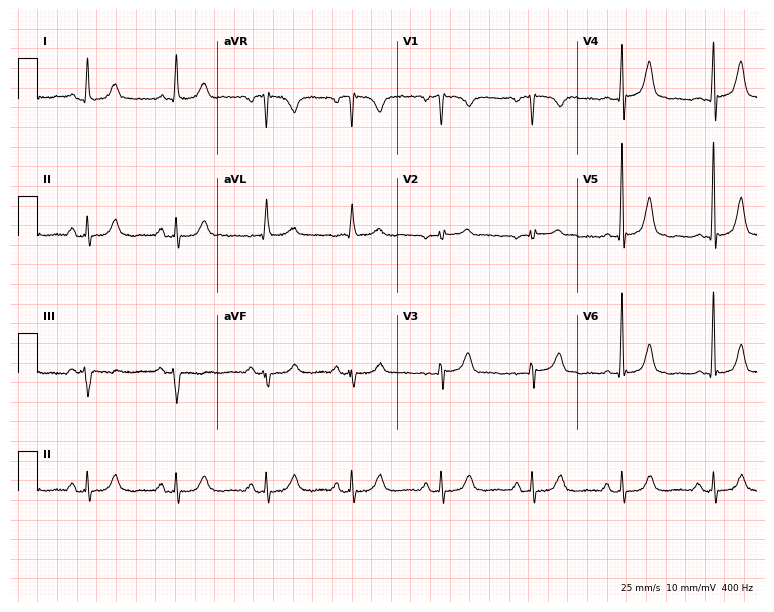
12-lead ECG from a female, 75 years old. Recorded interpretation: within normal limits.